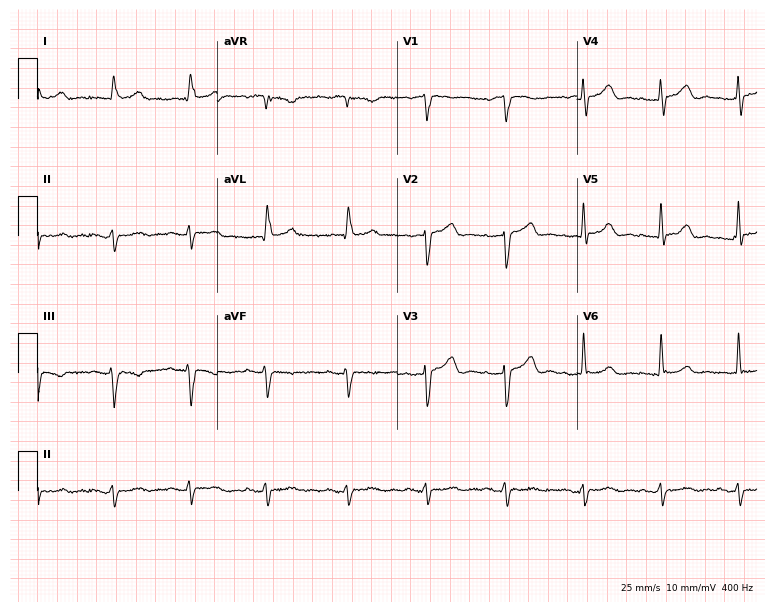
12-lead ECG from a male, 80 years old. No first-degree AV block, right bundle branch block, left bundle branch block, sinus bradycardia, atrial fibrillation or sinus tachycardia recorded for this tracing. Findings outside these six are not listed.